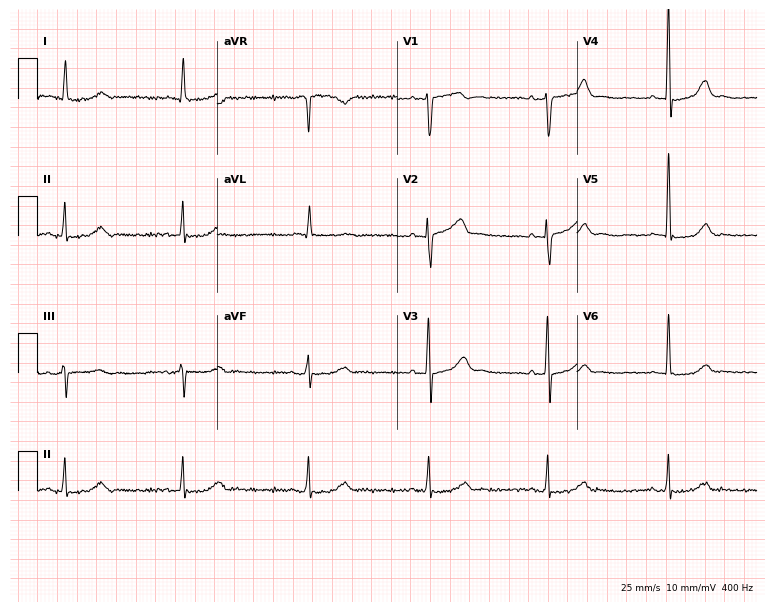
Electrocardiogram (7.3-second recording at 400 Hz), a man, 79 years old. Of the six screened findings (first-degree AV block, right bundle branch block (RBBB), left bundle branch block (LBBB), sinus bradycardia, atrial fibrillation (AF), sinus tachycardia), none is recorded.